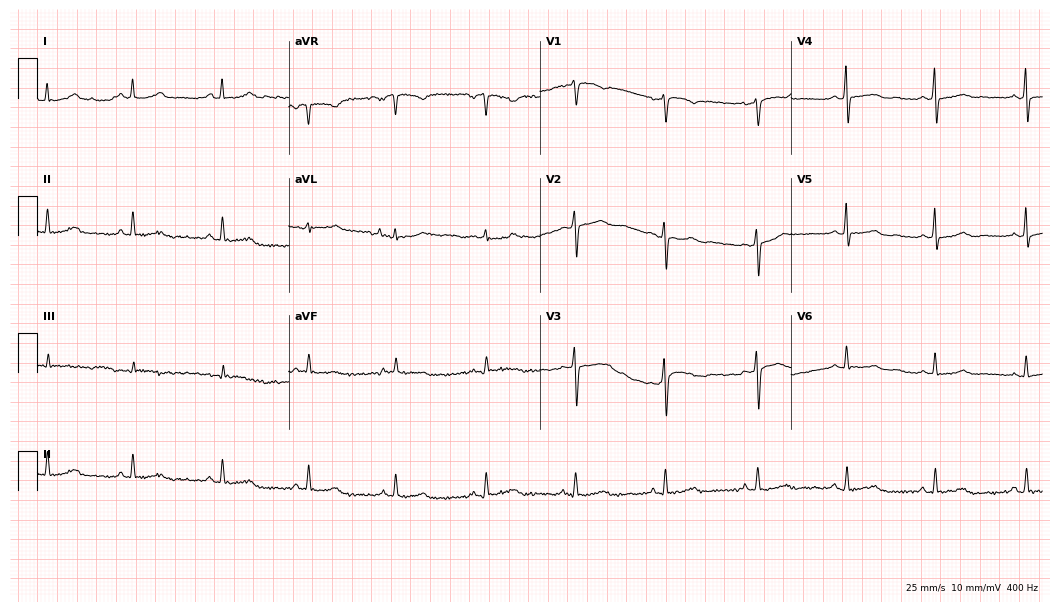
Electrocardiogram, a 47-year-old female patient. Of the six screened findings (first-degree AV block, right bundle branch block (RBBB), left bundle branch block (LBBB), sinus bradycardia, atrial fibrillation (AF), sinus tachycardia), none is recorded. Other findings, if any, are not listed.